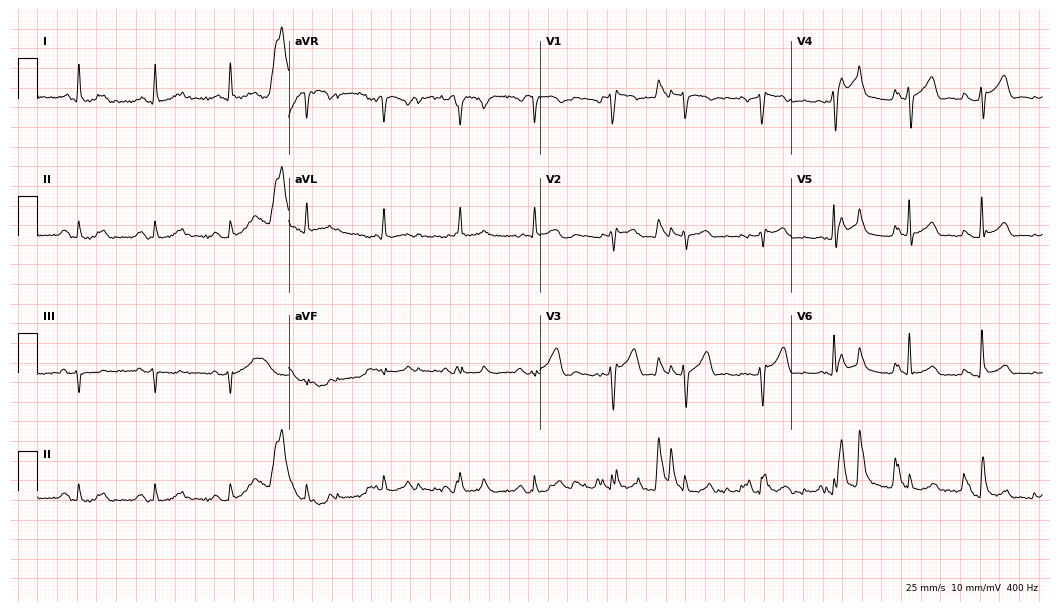
12-lead ECG from a 55-year-old male. Labelled as a normal ECG.